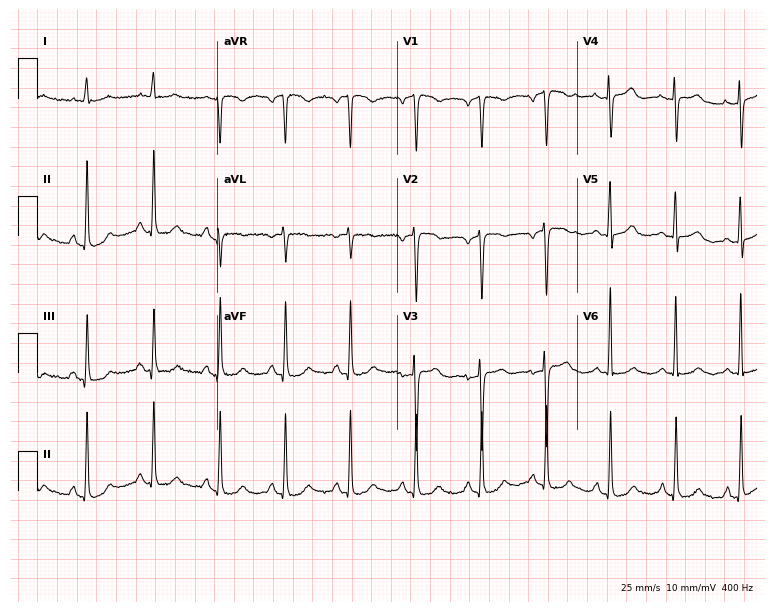
ECG — a 72-year-old woman. Screened for six findings — first-degree AV block, right bundle branch block, left bundle branch block, sinus bradycardia, atrial fibrillation, sinus tachycardia — none is recorded.